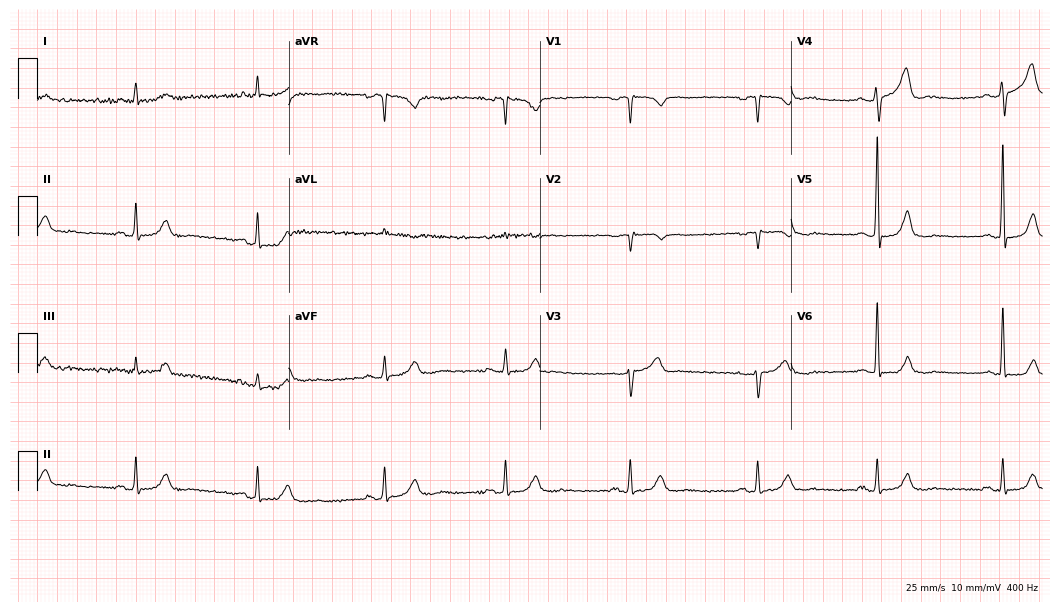
Electrocardiogram (10.2-second recording at 400 Hz), a 71-year-old man. Interpretation includes sinus bradycardia (a sinus rate of 50 beats per minute or less).